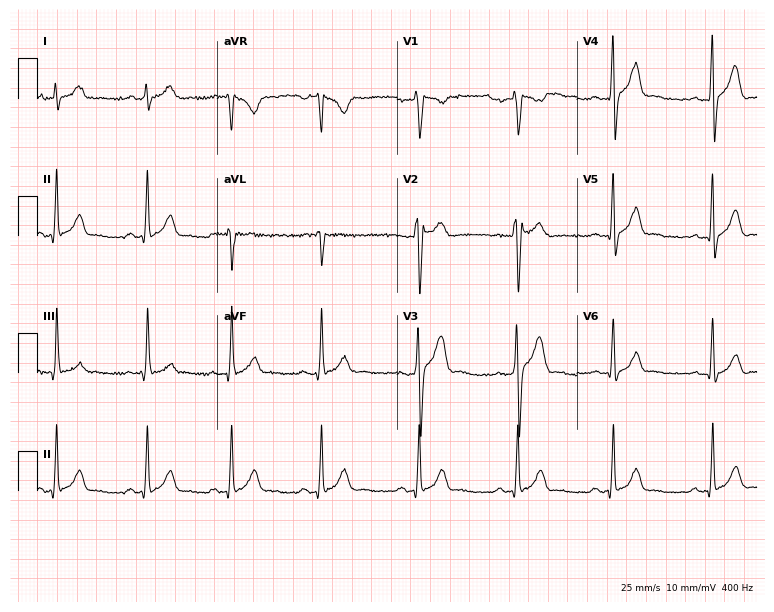
Electrocardiogram (7.3-second recording at 400 Hz), a 32-year-old male patient. Of the six screened findings (first-degree AV block, right bundle branch block, left bundle branch block, sinus bradycardia, atrial fibrillation, sinus tachycardia), none is recorded. Other findings, if any, are not listed.